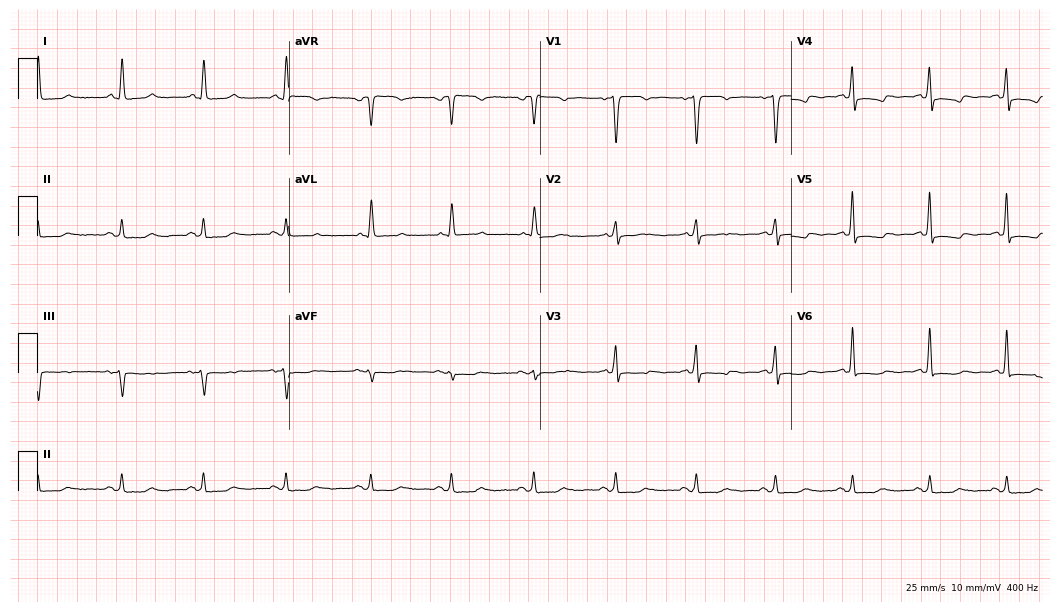
12-lead ECG from a woman, 61 years old. Screened for six findings — first-degree AV block, right bundle branch block (RBBB), left bundle branch block (LBBB), sinus bradycardia, atrial fibrillation (AF), sinus tachycardia — none is recorded. Other findings, if any, are not listed.